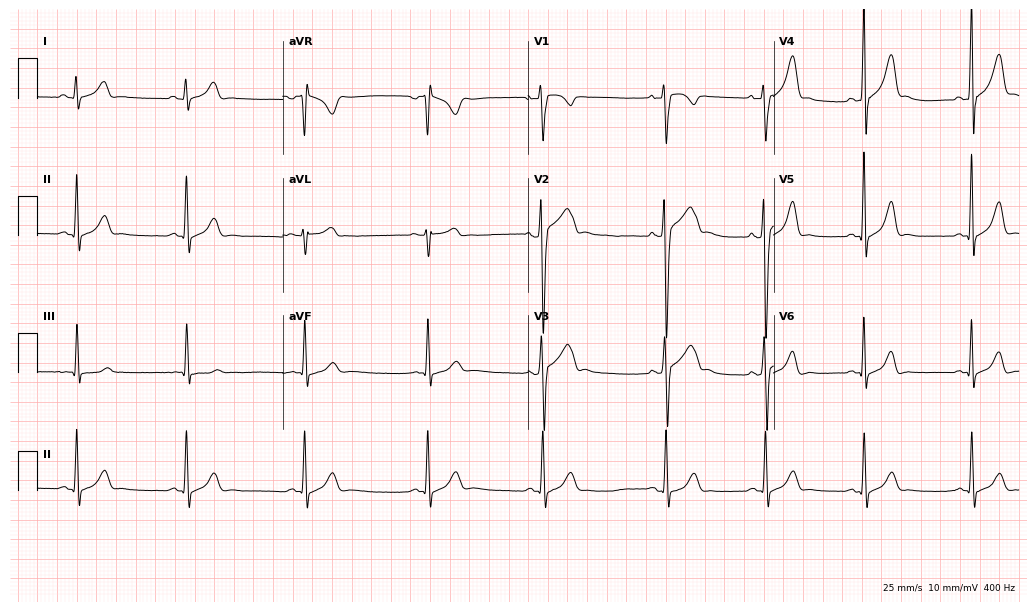
Resting 12-lead electrocardiogram (10-second recording at 400 Hz). Patient: an 18-year-old male. None of these six findings is recorded: first-degree AV block, right bundle branch block (RBBB), left bundle branch block (LBBB), sinus bradycardia, atrial fibrillation (AF), sinus tachycardia.